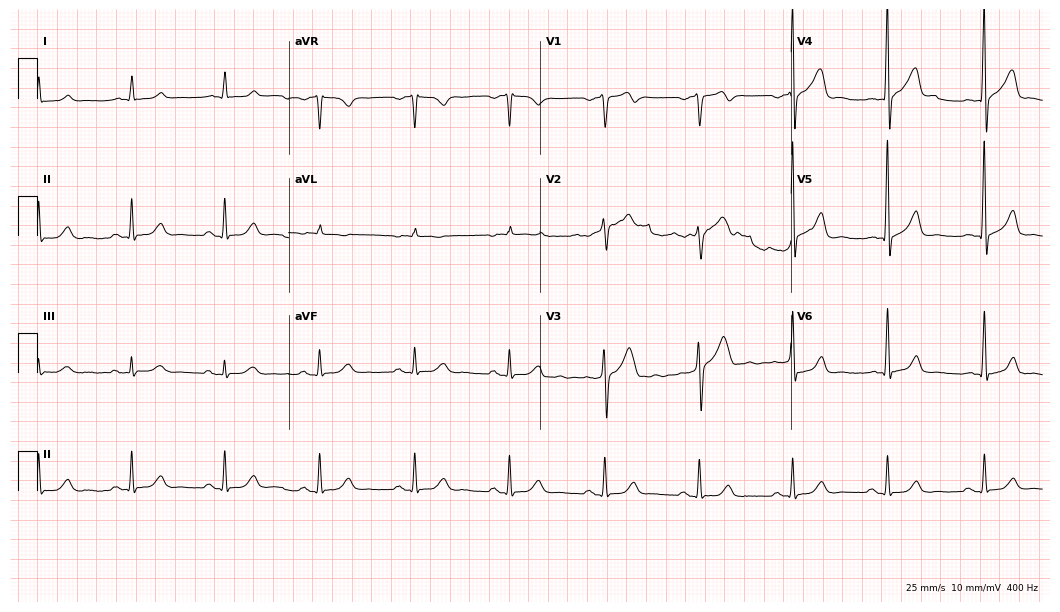
12-lead ECG from a 59-year-old man. Recorded interpretation: within normal limits.